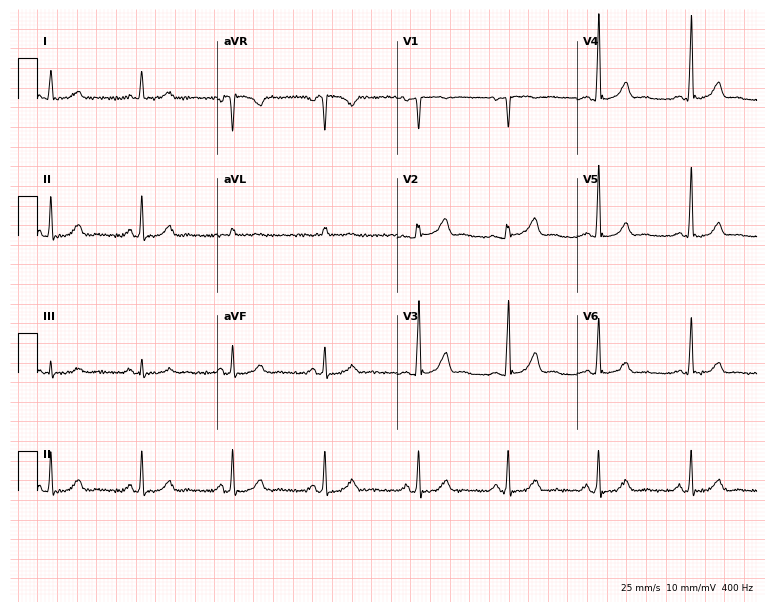
Standard 12-lead ECG recorded from a 51-year-old woman (7.3-second recording at 400 Hz). Read as a normal ECG.